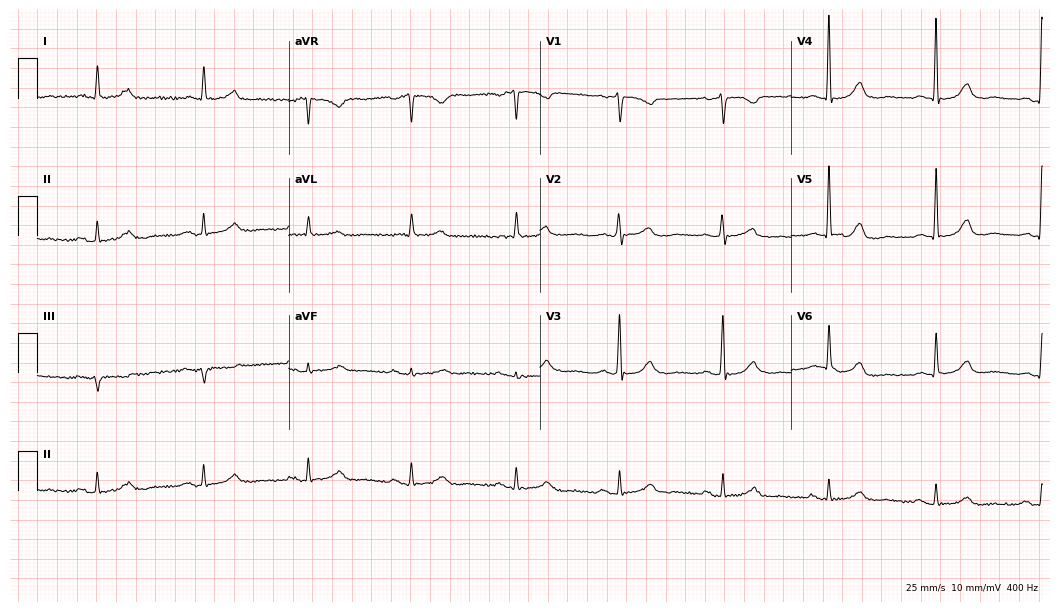
Resting 12-lead electrocardiogram. Patient: a woman, 74 years old. Read as a normal ECG.